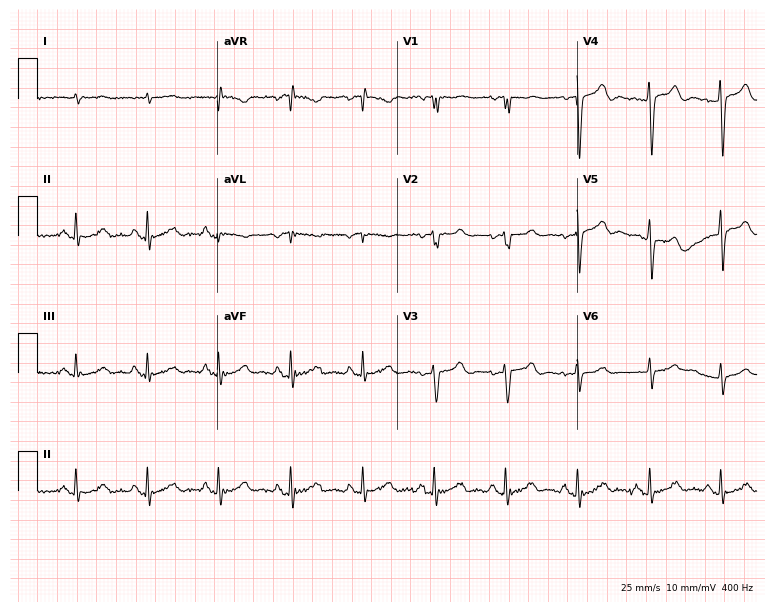
12-lead ECG from an 82-year-old male patient (7.3-second recording at 400 Hz). No first-degree AV block, right bundle branch block (RBBB), left bundle branch block (LBBB), sinus bradycardia, atrial fibrillation (AF) or sinus tachycardia recorded for this tracing.